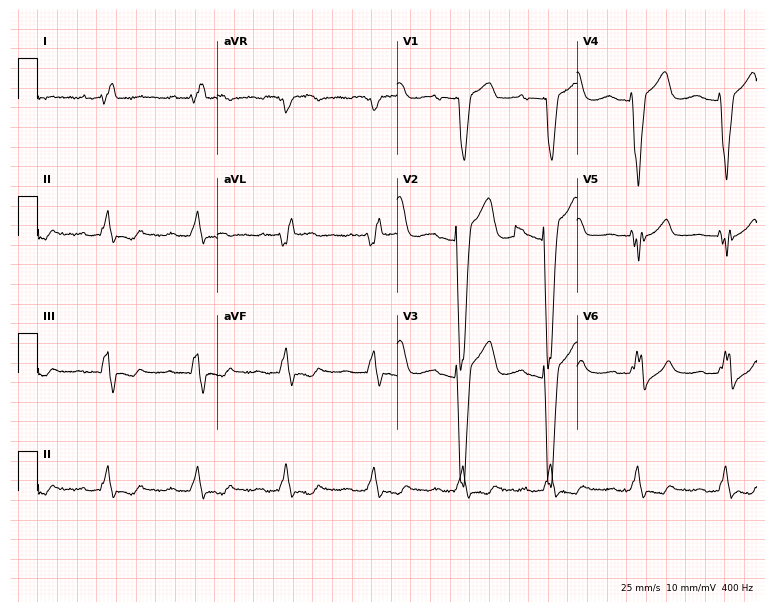
Resting 12-lead electrocardiogram. Patient: an 85-year-old woman. None of these six findings is recorded: first-degree AV block, right bundle branch block (RBBB), left bundle branch block (LBBB), sinus bradycardia, atrial fibrillation (AF), sinus tachycardia. Other findings, if any, are not listed.